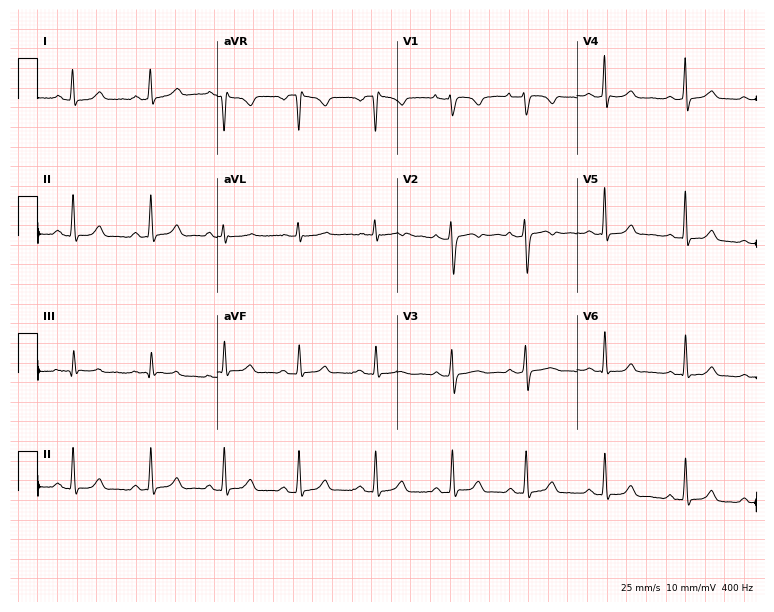
ECG — a 20-year-old female patient. Screened for six findings — first-degree AV block, right bundle branch block (RBBB), left bundle branch block (LBBB), sinus bradycardia, atrial fibrillation (AF), sinus tachycardia — none is recorded.